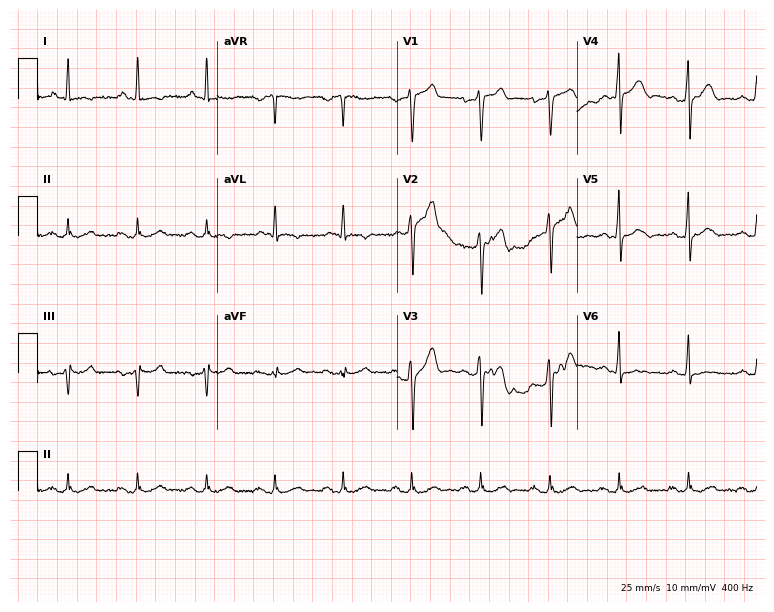
12-lead ECG from a male, 51 years old. Screened for six findings — first-degree AV block, right bundle branch block, left bundle branch block, sinus bradycardia, atrial fibrillation, sinus tachycardia — none is recorded. Findings outside these six are not listed.